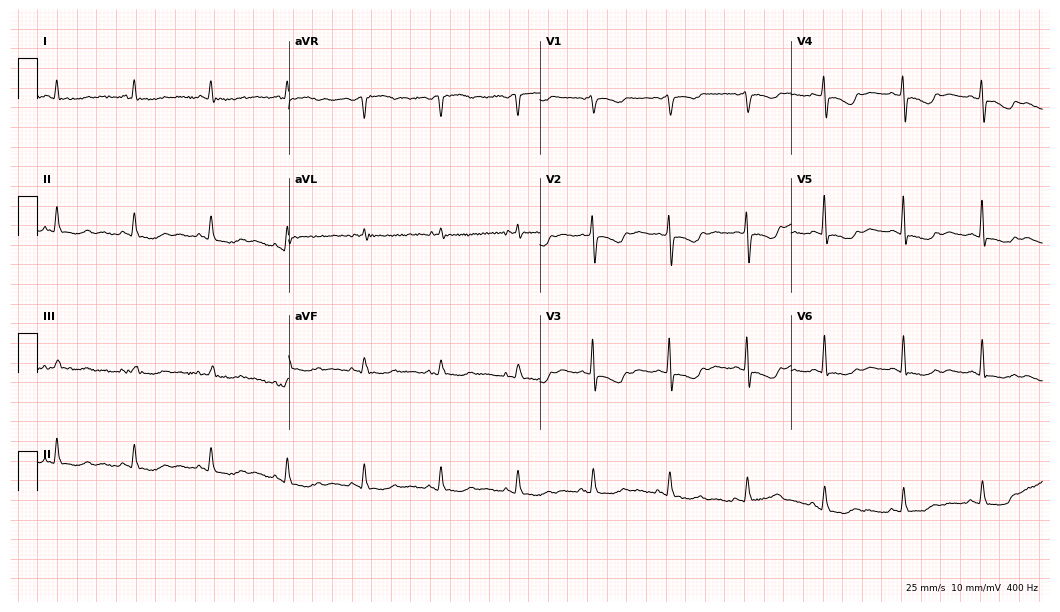
12-lead ECG (10.2-second recording at 400 Hz) from a 77-year-old woman. Screened for six findings — first-degree AV block, right bundle branch block, left bundle branch block, sinus bradycardia, atrial fibrillation, sinus tachycardia — none is recorded. Only these six findings were labelled.